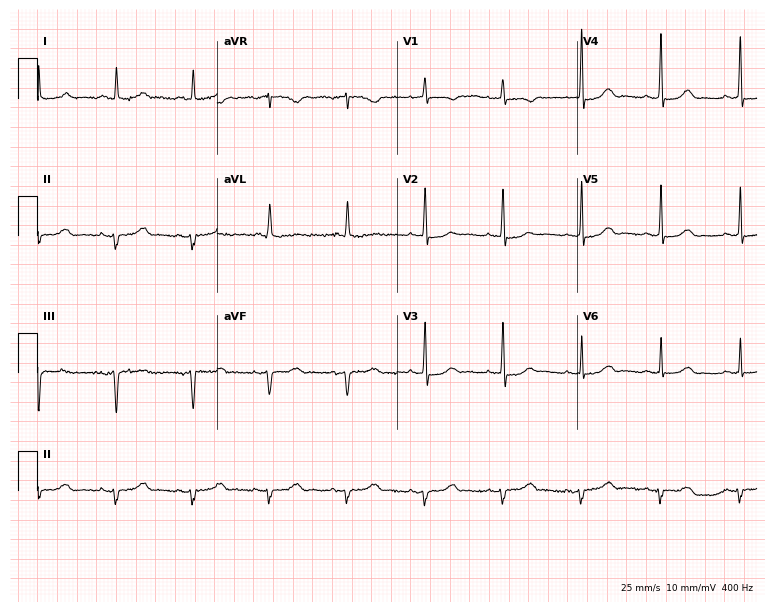
ECG — a 66-year-old female. Screened for six findings — first-degree AV block, right bundle branch block (RBBB), left bundle branch block (LBBB), sinus bradycardia, atrial fibrillation (AF), sinus tachycardia — none is recorded.